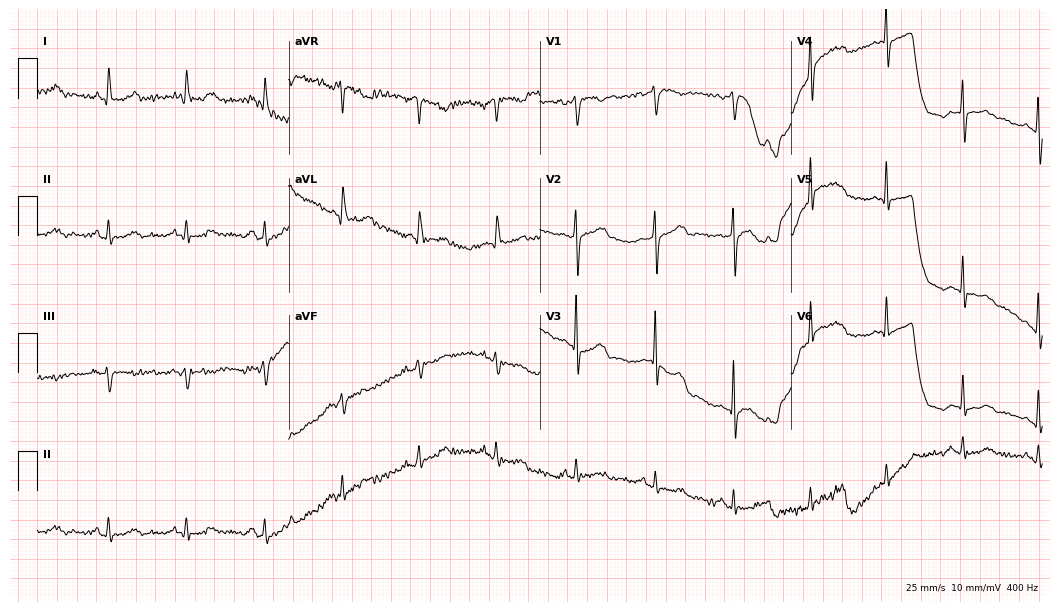
12-lead ECG from a female patient, 74 years old (10.2-second recording at 400 Hz). No first-degree AV block, right bundle branch block, left bundle branch block, sinus bradycardia, atrial fibrillation or sinus tachycardia recorded for this tracing.